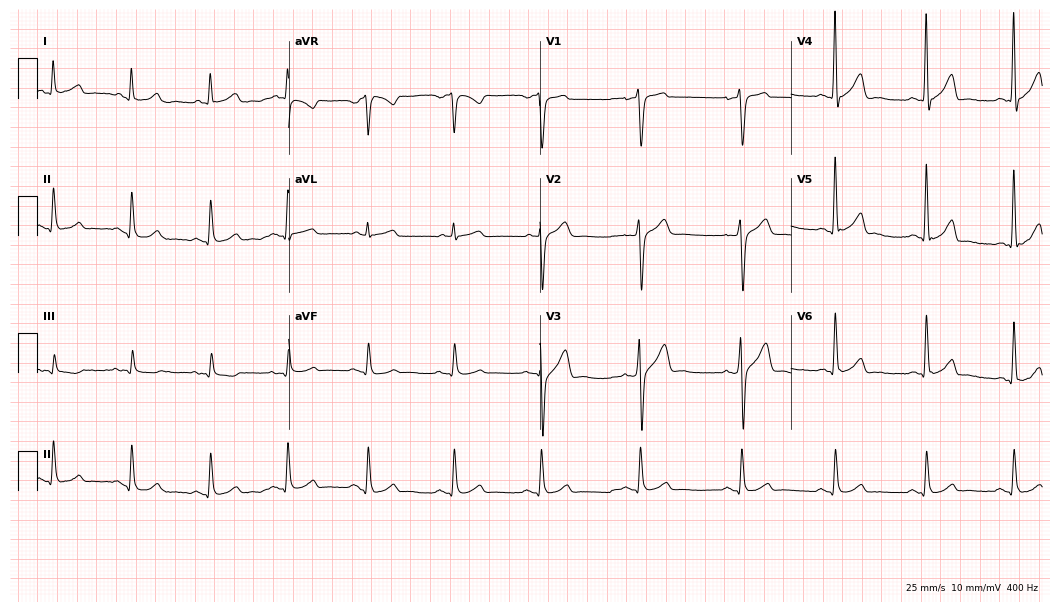
Resting 12-lead electrocardiogram (10.2-second recording at 400 Hz). Patient: a man, 47 years old. None of these six findings is recorded: first-degree AV block, right bundle branch block, left bundle branch block, sinus bradycardia, atrial fibrillation, sinus tachycardia.